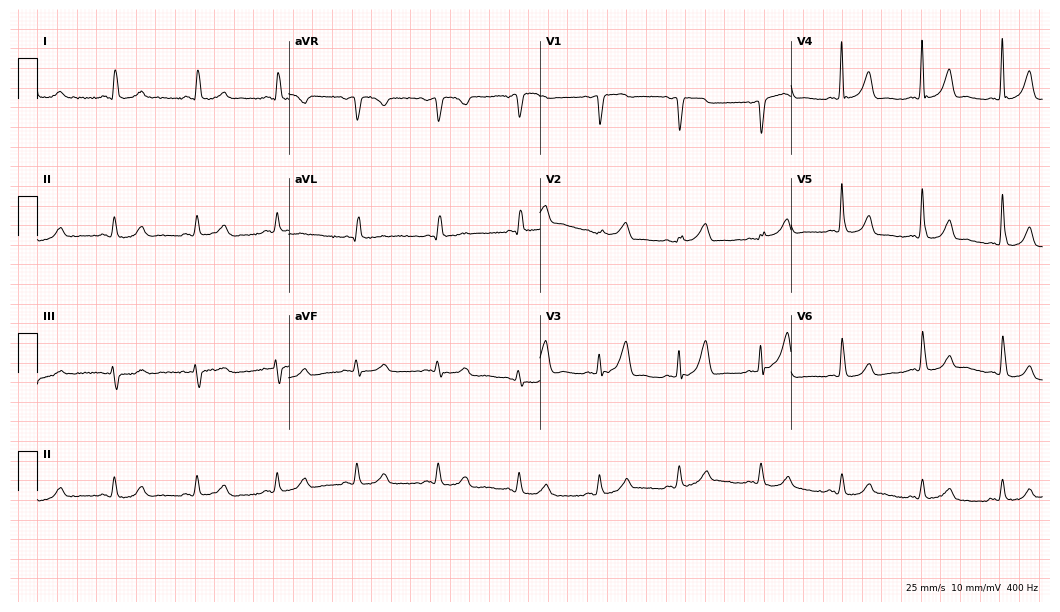
12-lead ECG from a woman, 59 years old. Recorded interpretation: within normal limits.